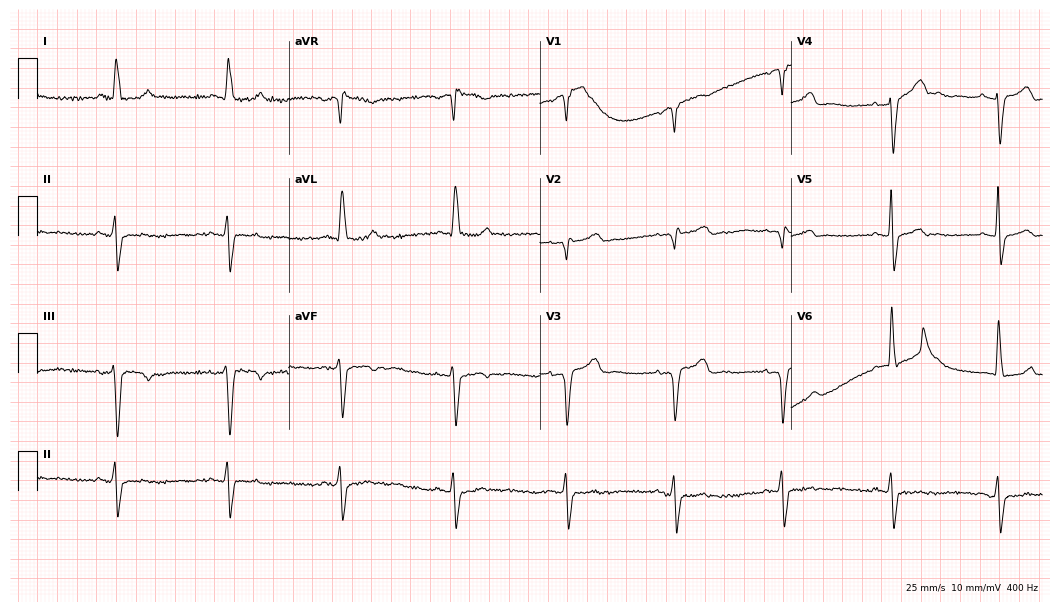
ECG (10.2-second recording at 400 Hz) — a female patient, 77 years old. Screened for six findings — first-degree AV block, right bundle branch block, left bundle branch block, sinus bradycardia, atrial fibrillation, sinus tachycardia — none is recorded. Only these six findings were labelled.